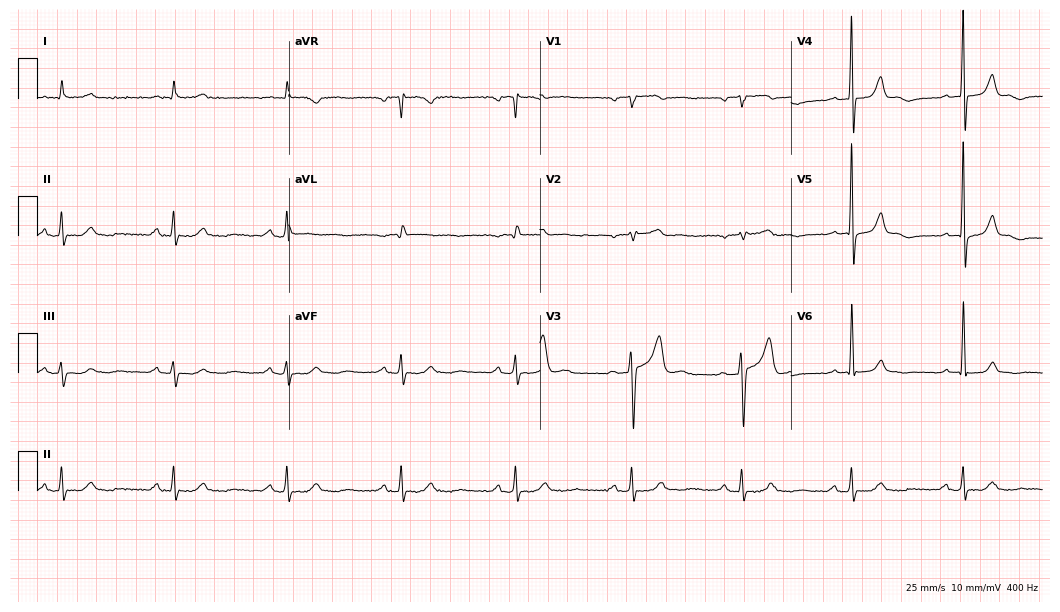
Standard 12-lead ECG recorded from a 74-year-old man (10.2-second recording at 400 Hz). None of these six findings is recorded: first-degree AV block, right bundle branch block, left bundle branch block, sinus bradycardia, atrial fibrillation, sinus tachycardia. Only these six findings were labelled.